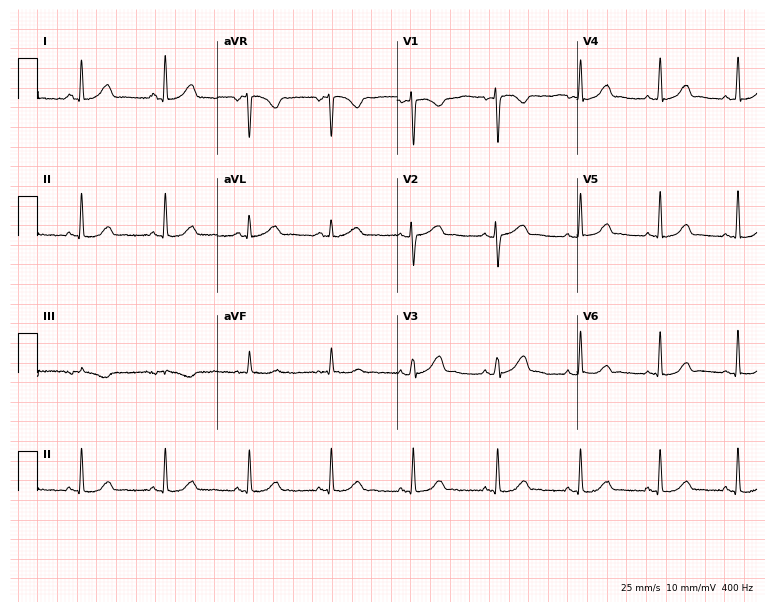
12-lead ECG (7.3-second recording at 400 Hz) from a 36-year-old woman. Labelled as a normal ECG.